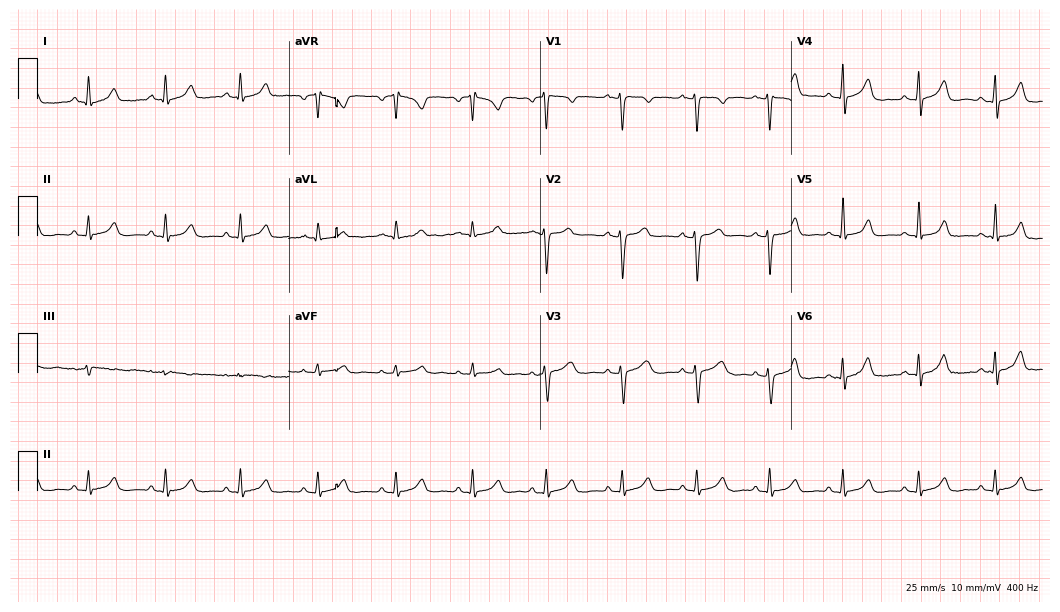
ECG — a 29-year-old woman. Labelled as a normal ECG.